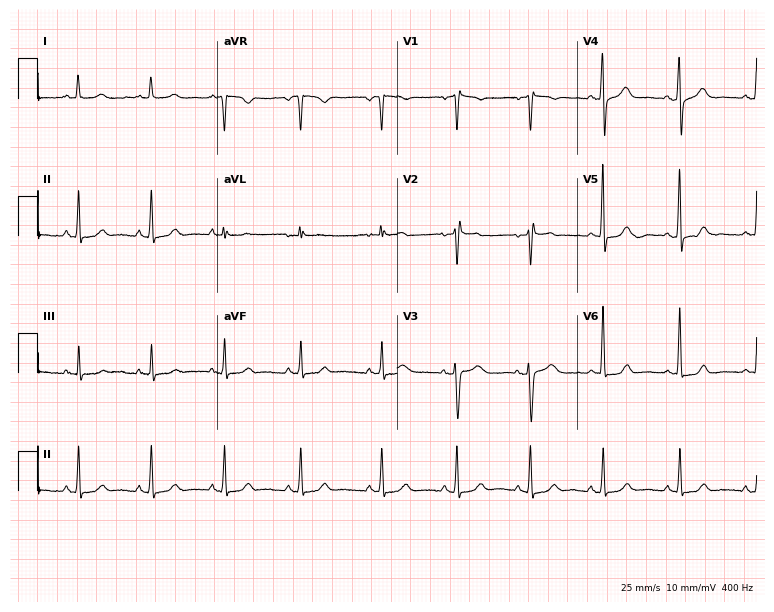
12-lead ECG from a 47-year-old female patient. Recorded interpretation: within normal limits.